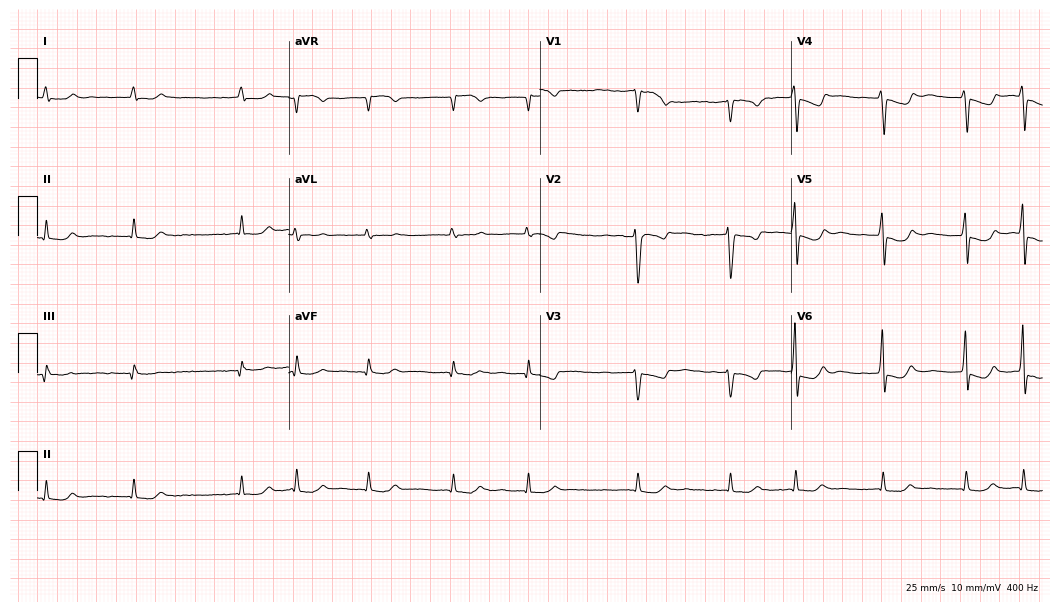
Resting 12-lead electrocardiogram (10.2-second recording at 400 Hz). Patient: a 72-year-old female. The tracing shows atrial fibrillation.